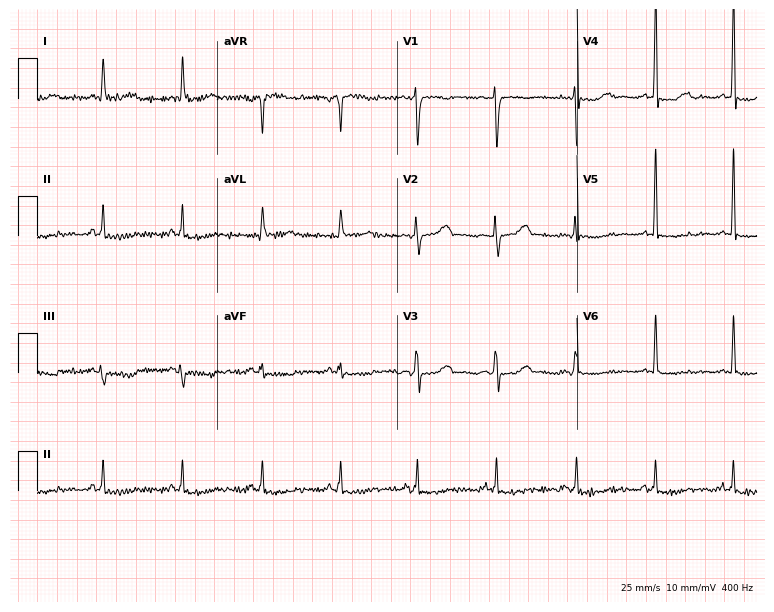
12-lead ECG from a female patient, 59 years old. Labelled as a normal ECG.